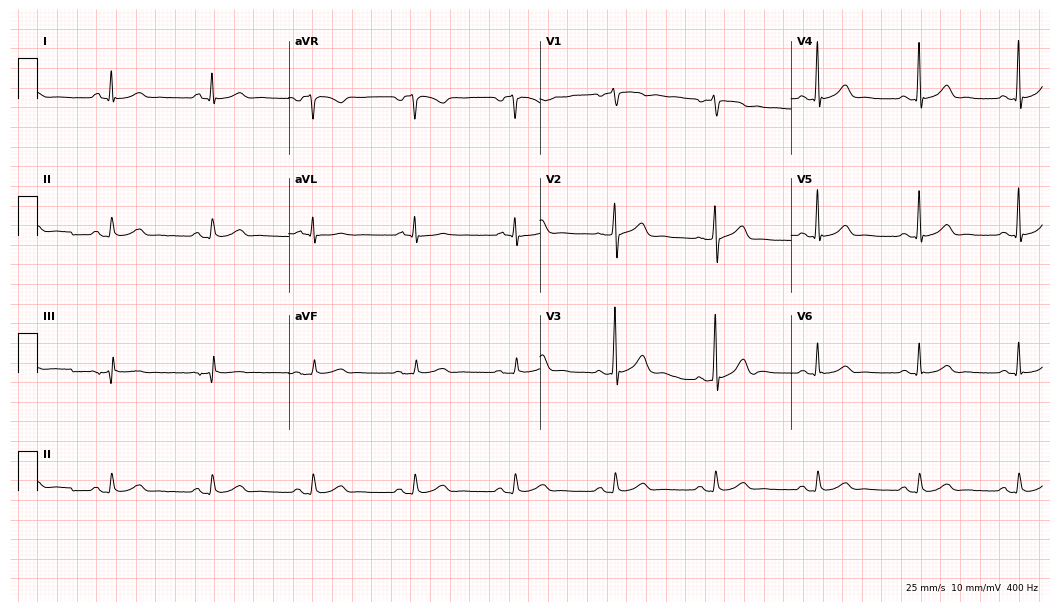
ECG — a 50-year-old male patient. Labelled as a normal ECG.